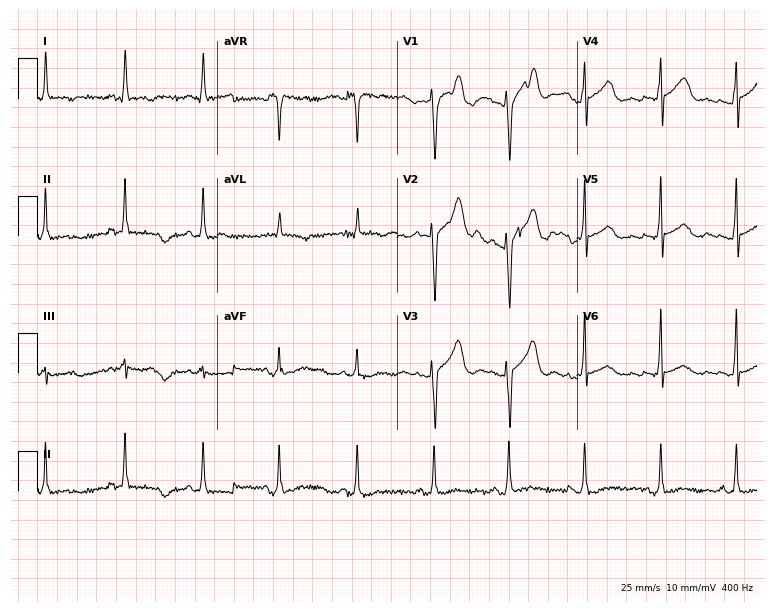
12-lead ECG from a female, 37 years old. No first-degree AV block, right bundle branch block, left bundle branch block, sinus bradycardia, atrial fibrillation or sinus tachycardia recorded for this tracing. Other findings, if any, are not listed.